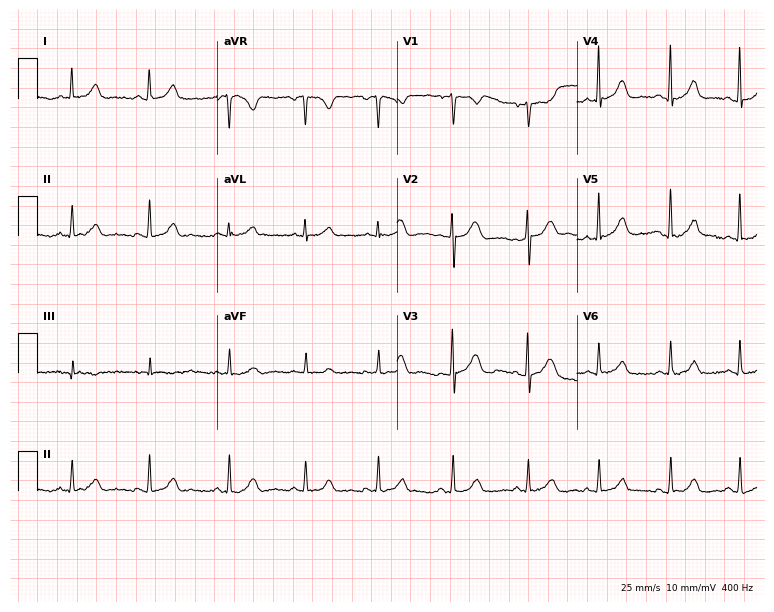
ECG — a 50-year-old female patient. Screened for six findings — first-degree AV block, right bundle branch block (RBBB), left bundle branch block (LBBB), sinus bradycardia, atrial fibrillation (AF), sinus tachycardia — none is recorded.